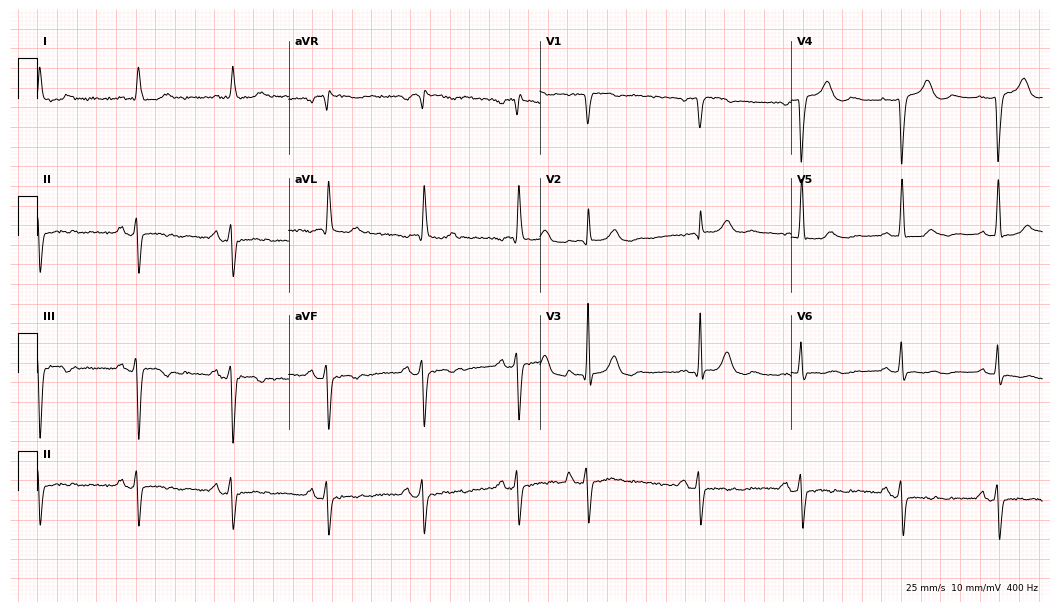
12-lead ECG from a female patient, 79 years old. No first-degree AV block, right bundle branch block (RBBB), left bundle branch block (LBBB), sinus bradycardia, atrial fibrillation (AF) or sinus tachycardia recorded for this tracing. Findings outside these six are not listed.